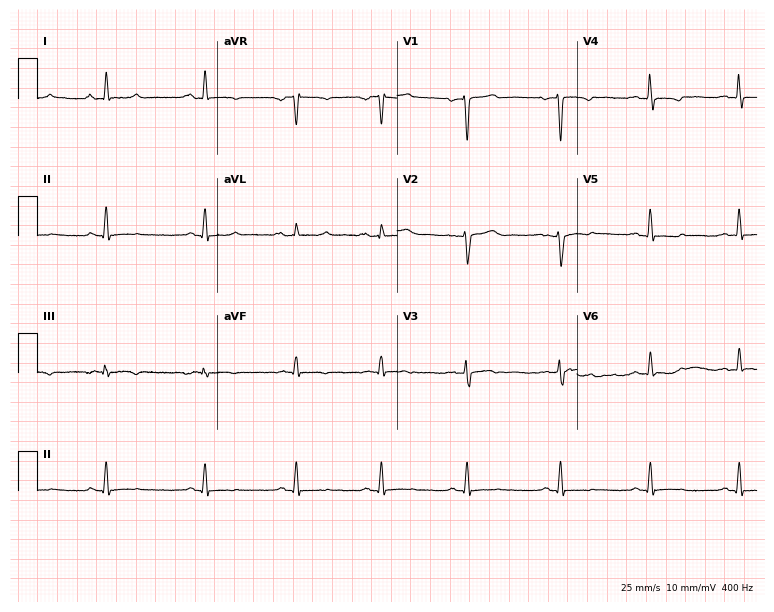
12-lead ECG from a woman, 57 years old (7.3-second recording at 400 Hz). No first-degree AV block, right bundle branch block (RBBB), left bundle branch block (LBBB), sinus bradycardia, atrial fibrillation (AF) or sinus tachycardia recorded for this tracing. Findings outside these six are not listed.